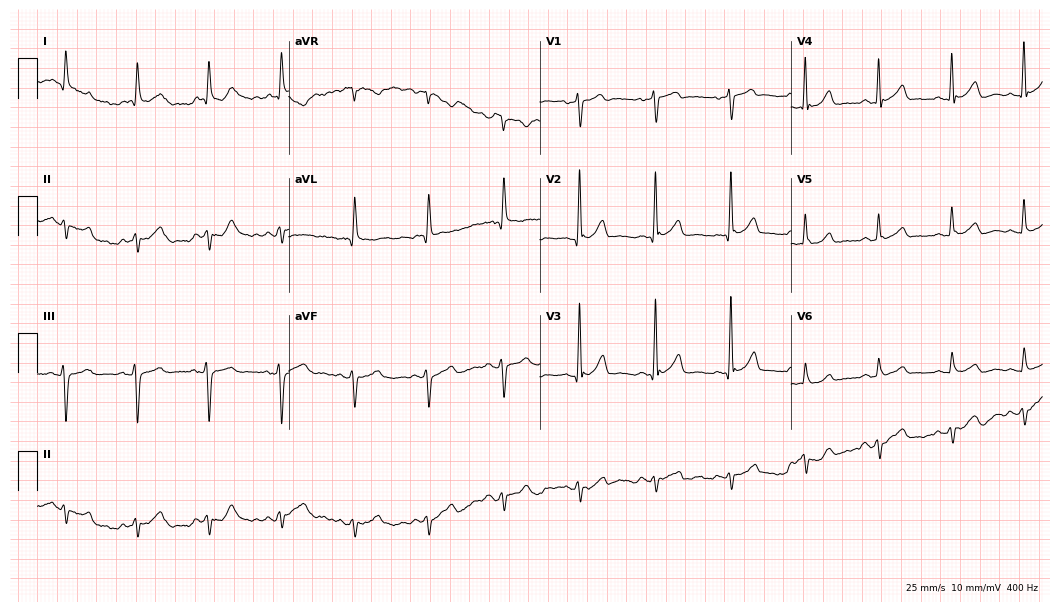
Electrocardiogram, a male, 72 years old. Of the six screened findings (first-degree AV block, right bundle branch block, left bundle branch block, sinus bradycardia, atrial fibrillation, sinus tachycardia), none is recorded. Only these six findings were labelled.